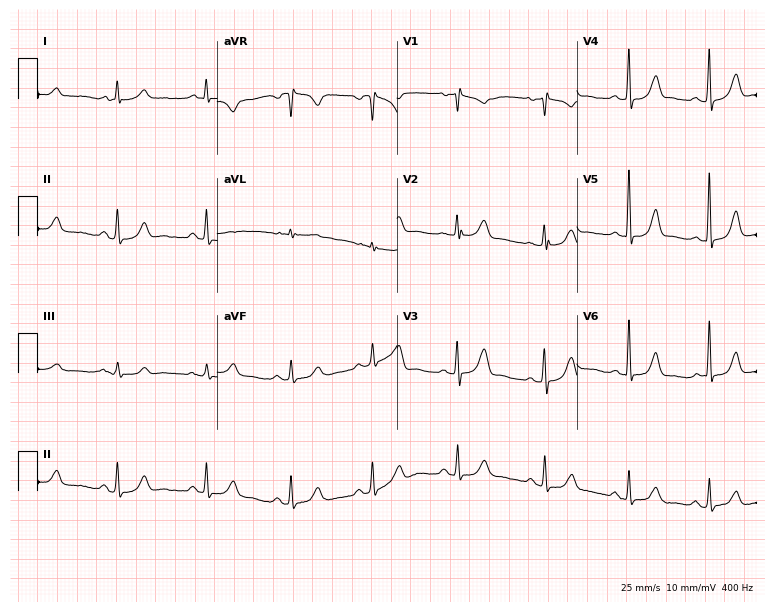
12-lead ECG from a 58-year-old female patient. No first-degree AV block, right bundle branch block, left bundle branch block, sinus bradycardia, atrial fibrillation or sinus tachycardia recorded for this tracing.